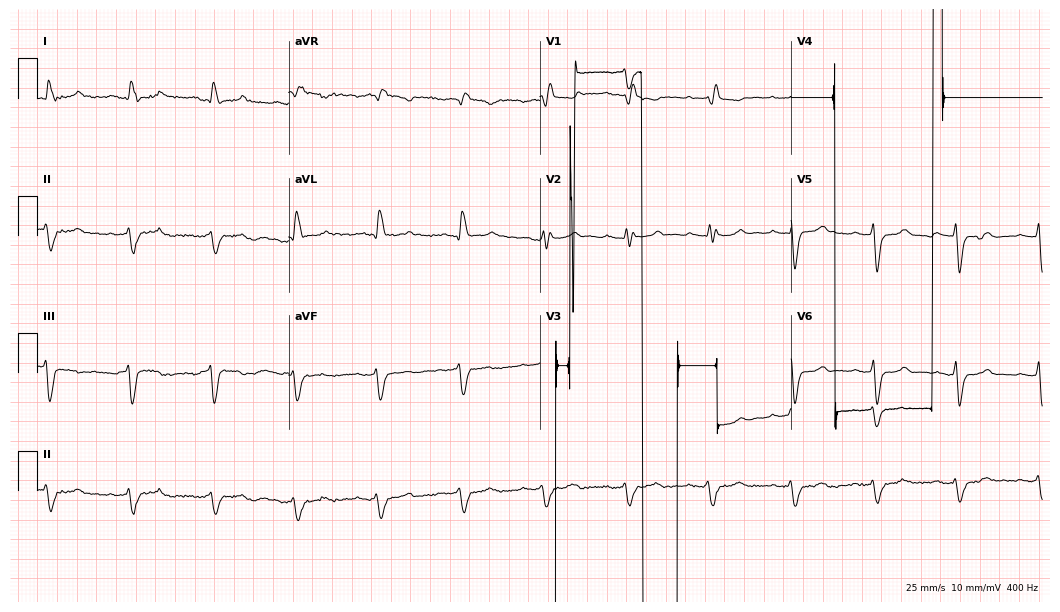
Electrocardiogram (10.2-second recording at 400 Hz), a 69-year-old male patient. Of the six screened findings (first-degree AV block, right bundle branch block (RBBB), left bundle branch block (LBBB), sinus bradycardia, atrial fibrillation (AF), sinus tachycardia), none is recorded. Other findings, if any, are not listed.